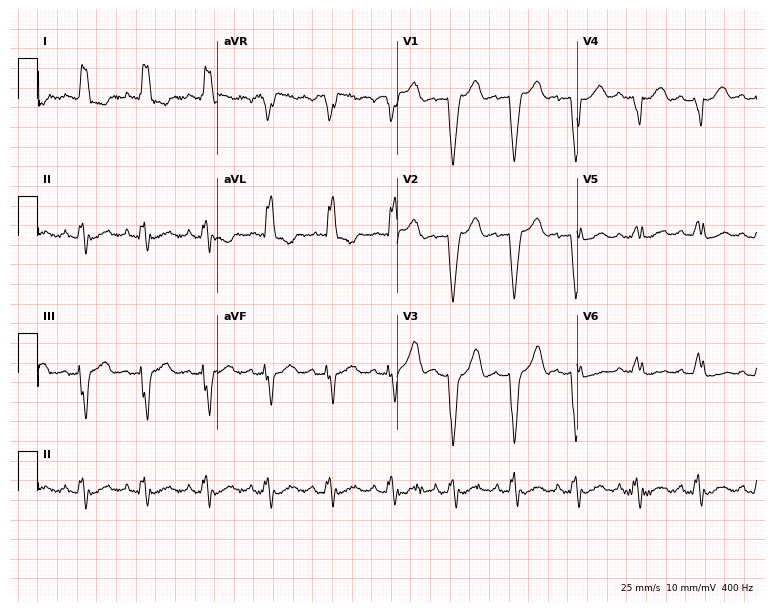
Electrocardiogram (7.3-second recording at 400 Hz), a 70-year-old female. Of the six screened findings (first-degree AV block, right bundle branch block, left bundle branch block, sinus bradycardia, atrial fibrillation, sinus tachycardia), none is recorded.